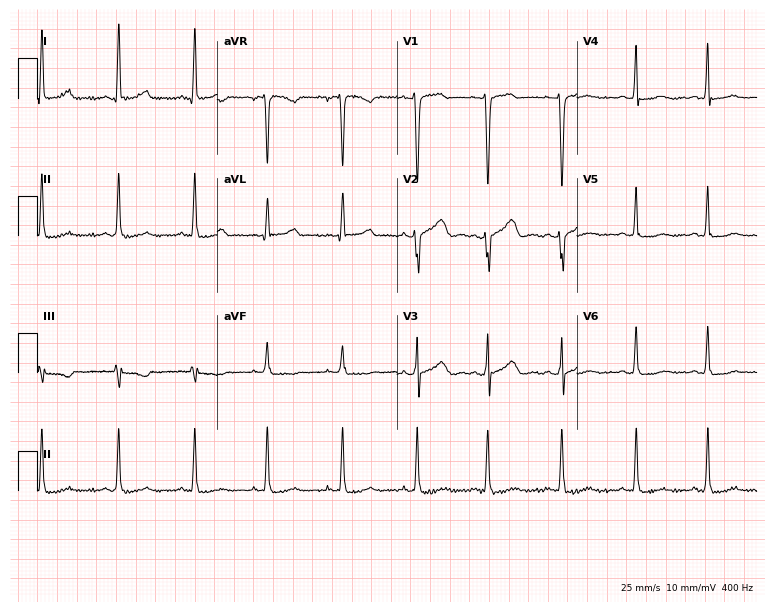
Resting 12-lead electrocardiogram. Patient: a 36-year-old female. Read as a normal ECG.